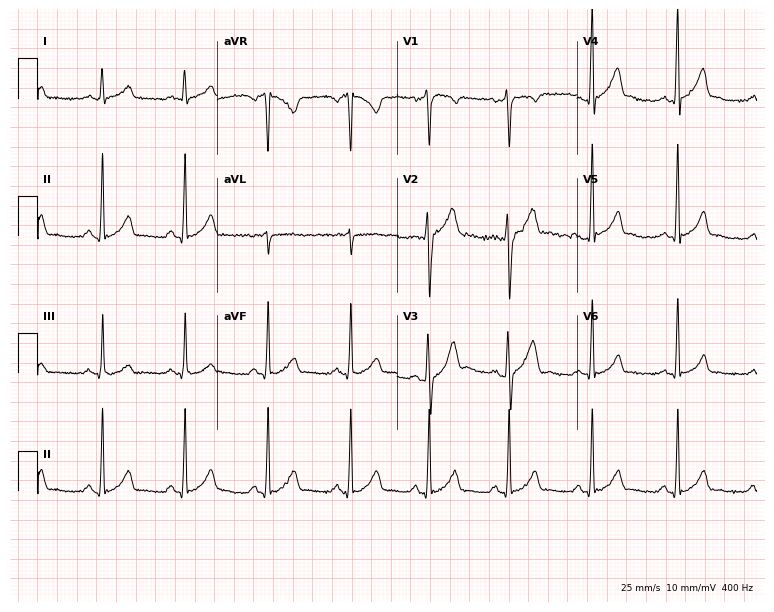
Electrocardiogram (7.3-second recording at 400 Hz), a male, 28 years old. Of the six screened findings (first-degree AV block, right bundle branch block, left bundle branch block, sinus bradycardia, atrial fibrillation, sinus tachycardia), none is recorded. Only these six findings were labelled.